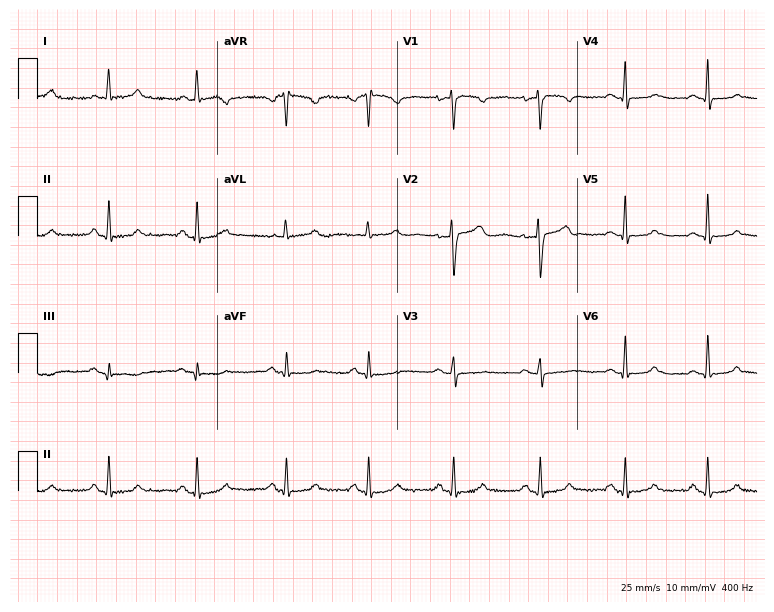
12-lead ECG from a female, 43 years old. No first-degree AV block, right bundle branch block, left bundle branch block, sinus bradycardia, atrial fibrillation or sinus tachycardia recorded for this tracing. Only these six findings were labelled.